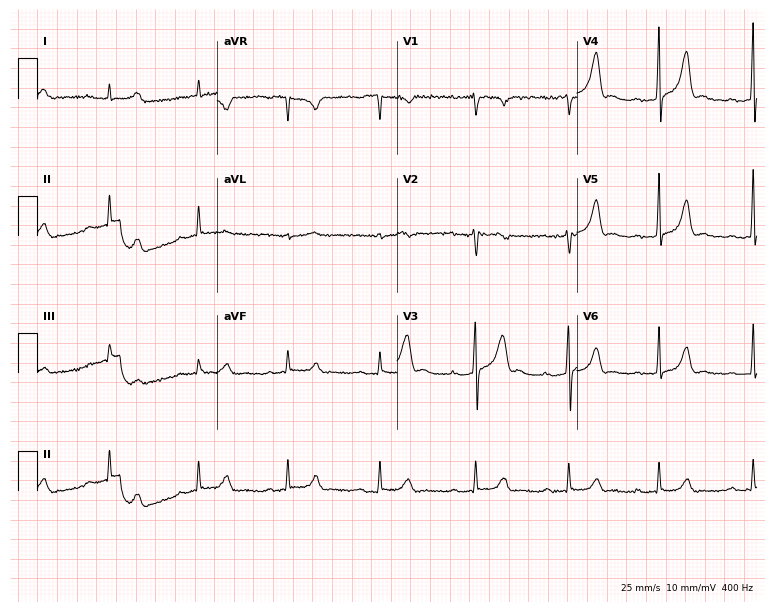
12-lead ECG (7.3-second recording at 400 Hz) from a 43-year-old male. Findings include first-degree AV block.